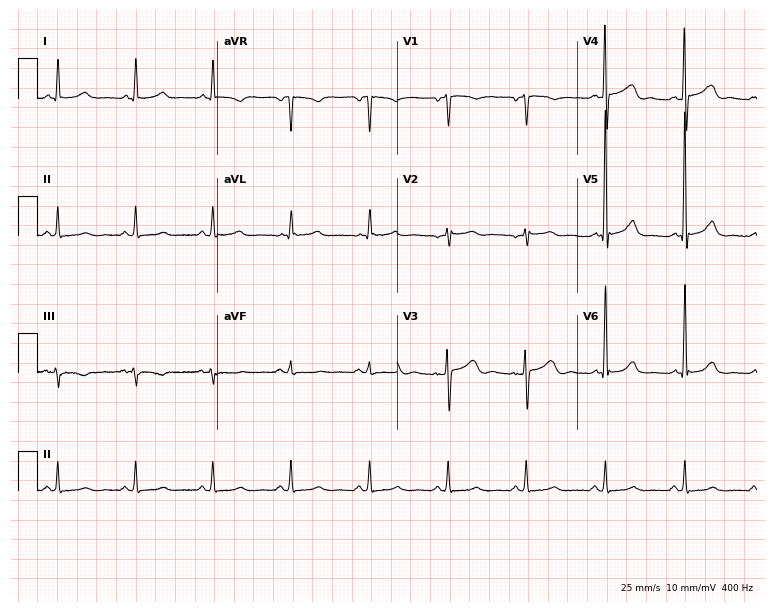
Resting 12-lead electrocardiogram (7.3-second recording at 400 Hz). Patient: a woman, 49 years old. None of these six findings is recorded: first-degree AV block, right bundle branch block, left bundle branch block, sinus bradycardia, atrial fibrillation, sinus tachycardia.